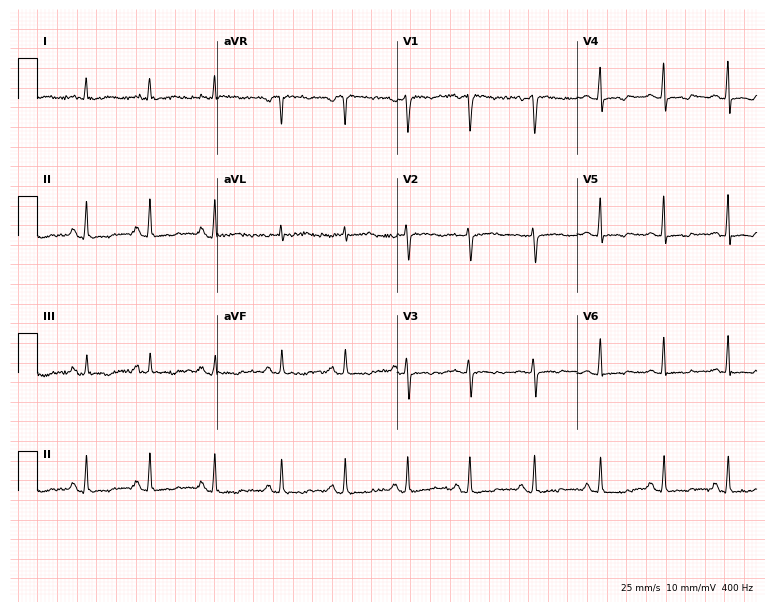
ECG (7.3-second recording at 400 Hz) — a female patient, 33 years old. Screened for six findings — first-degree AV block, right bundle branch block, left bundle branch block, sinus bradycardia, atrial fibrillation, sinus tachycardia — none is recorded. Only these six findings were labelled.